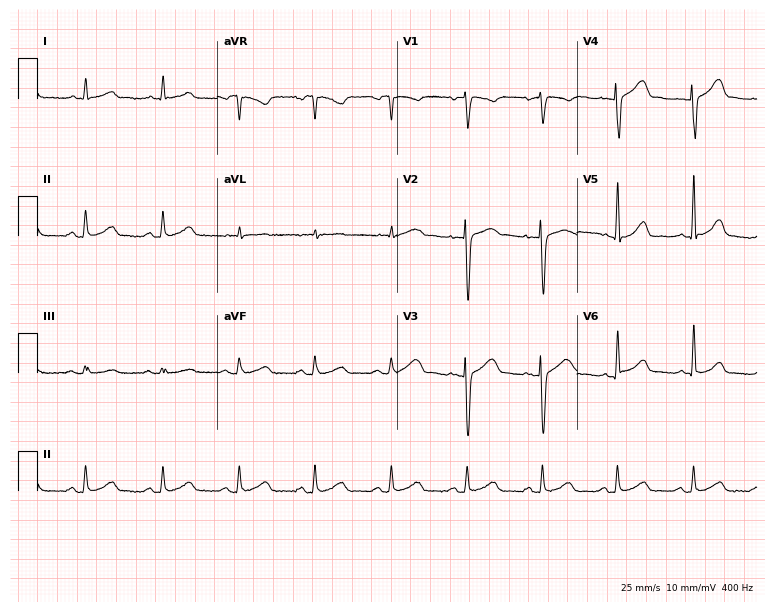
Electrocardiogram, a 60-year-old male. Of the six screened findings (first-degree AV block, right bundle branch block, left bundle branch block, sinus bradycardia, atrial fibrillation, sinus tachycardia), none is recorded.